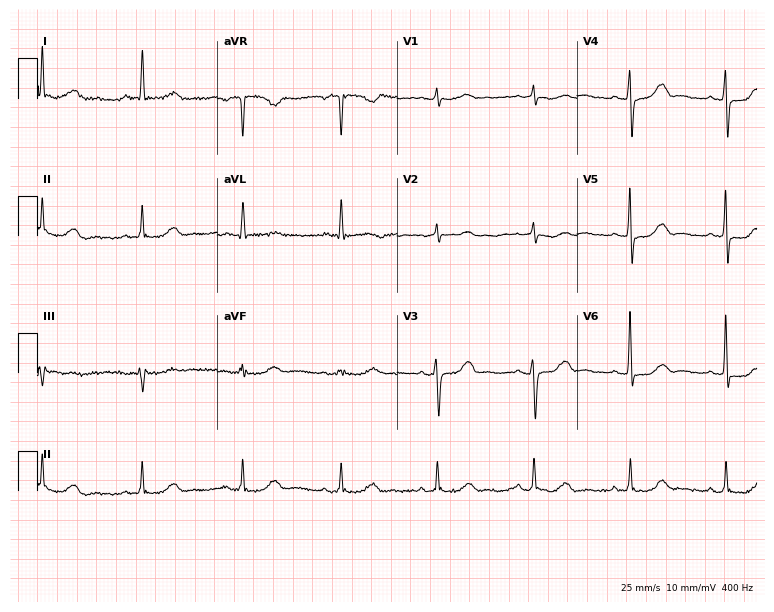
Electrocardiogram, a woman, 64 years old. Overall reading on record: normal ECG.